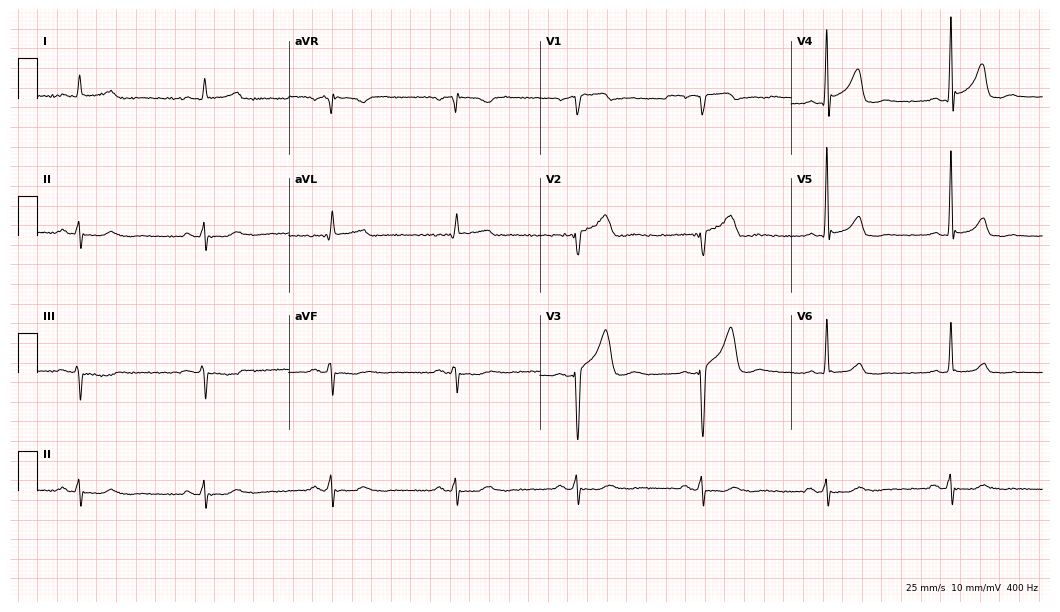
Resting 12-lead electrocardiogram. Patient: a male, 63 years old. The tracing shows sinus bradycardia (a sinus rate of 50 beats per minute or less).